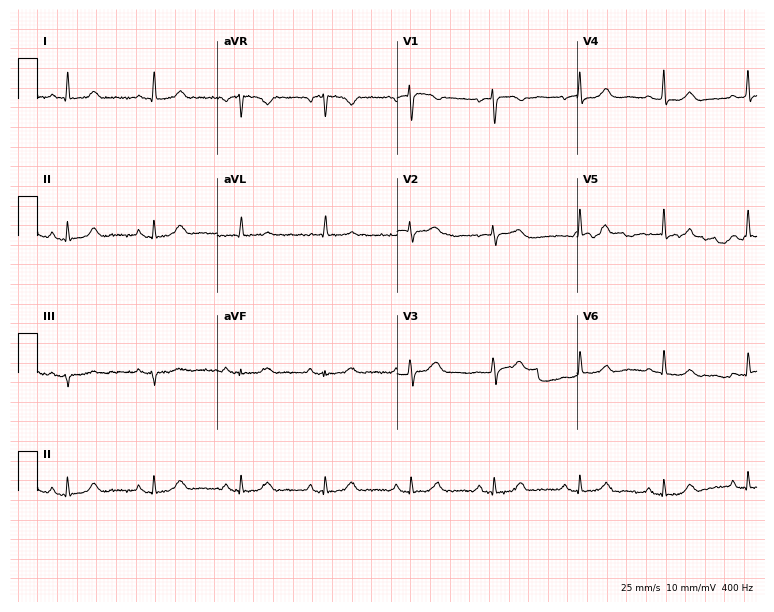
Standard 12-lead ECG recorded from a 54-year-old female (7.3-second recording at 400 Hz). Read as a normal ECG.